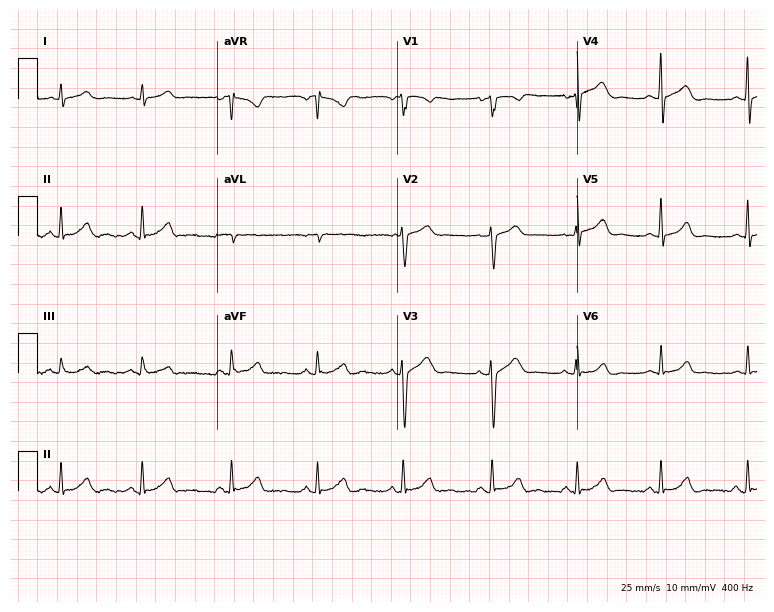
12-lead ECG (7.3-second recording at 400 Hz) from a female patient, 32 years old. Screened for six findings — first-degree AV block, right bundle branch block, left bundle branch block, sinus bradycardia, atrial fibrillation, sinus tachycardia — none is recorded.